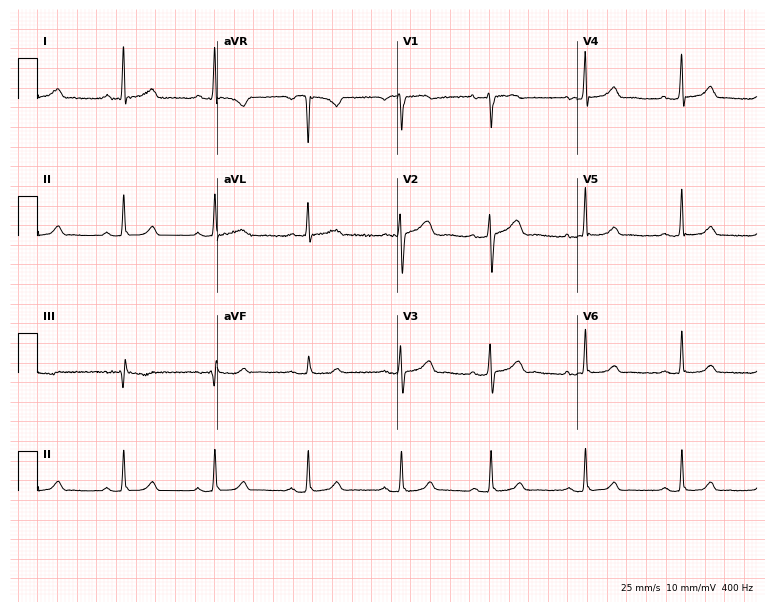
Standard 12-lead ECG recorded from a female, 49 years old (7.3-second recording at 400 Hz). Read as a normal ECG.